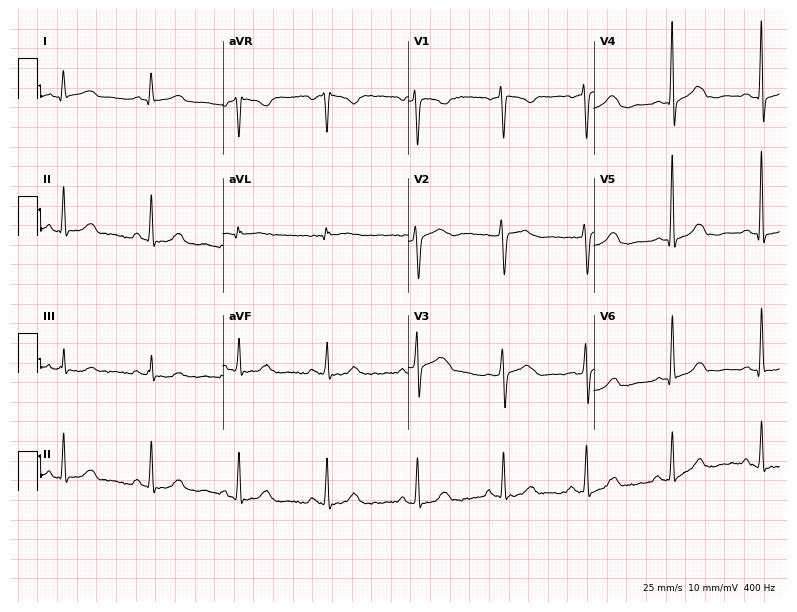
Electrocardiogram (7.6-second recording at 400 Hz), a 54-year-old woman. Overall reading on record: normal ECG.